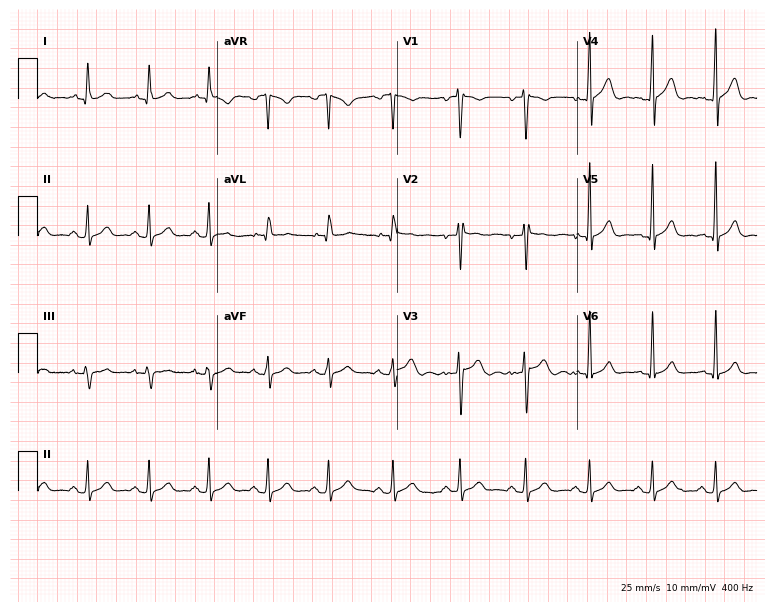
Standard 12-lead ECG recorded from a male patient, 23 years old (7.3-second recording at 400 Hz). None of these six findings is recorded: first-degree AV block, right bundle branch block (RBBB), left bundle branch block (LBBB), sinus bradycardia, atrial fibrillation (AF), sinus tachycardia. Findings outside these six are not listed.